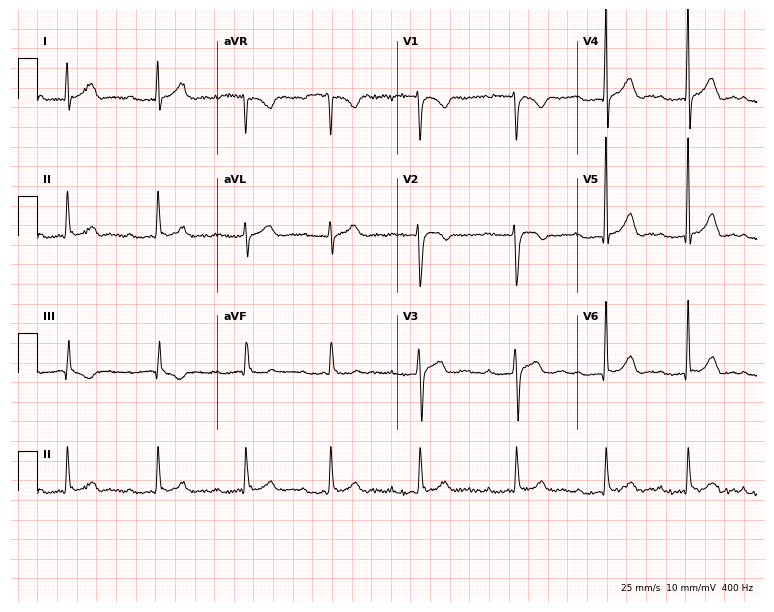
12-lead ECG from a male patient, 19 years old. Shows first-degree AV block.